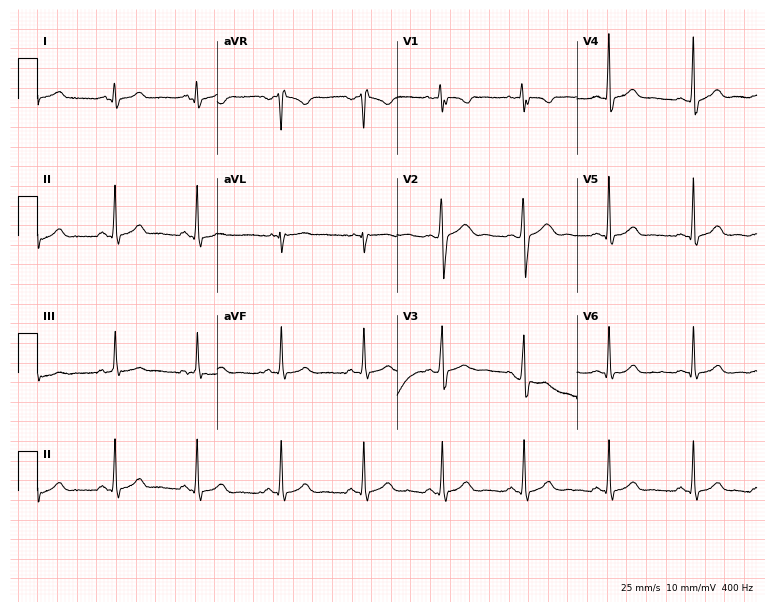
12-lead ECG from a female patient, 19 years old (7.3-second recording at 400 Hz). No first-degree AV block, right bundle branch block, left bundle branch block, sinus bradycardia, atrial fibrillation or sinus tachycardia recorded for this tracing. Other findings, if any, are not listed.